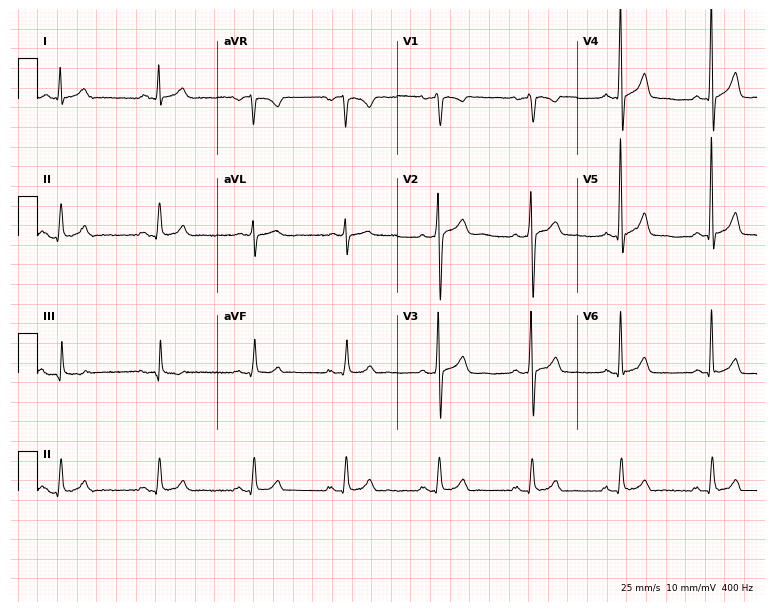
12-lead ECG from a male patient, 47 years old. Labelled as a normal ECG.